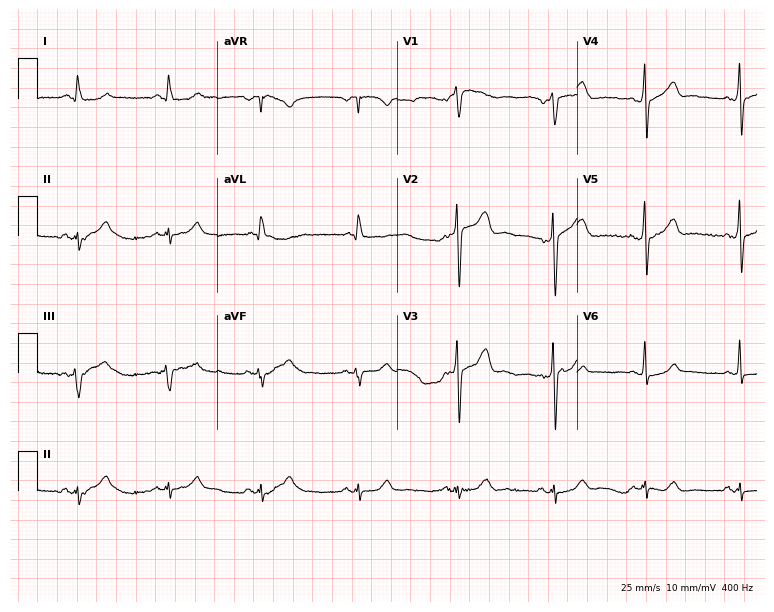
Electrocardiogram (7.3-second recording at 400 Hz), a male patient, 73 years old. Overall reading on record: normal ECG.